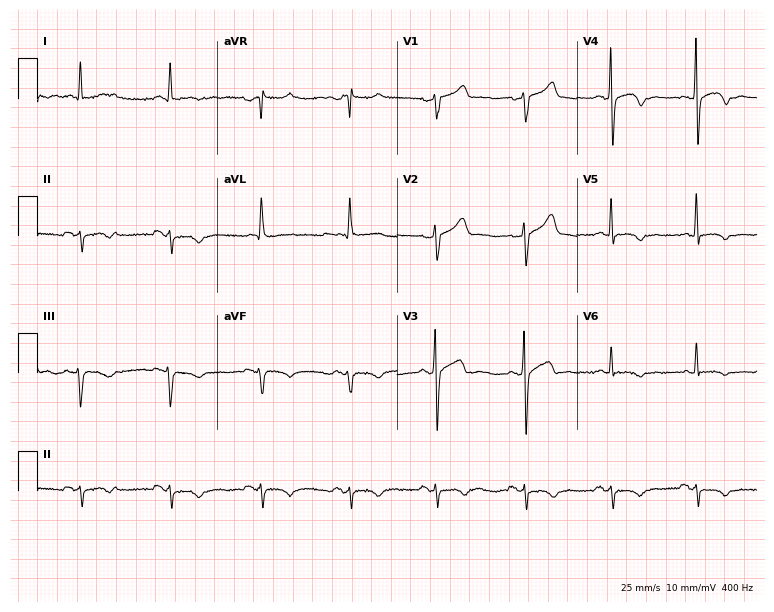
ECG — a male patient, 52 years old. Screened for six findings — first-degree AV block, right bundle branch block (RBBB), left bundle branch block (LBBB), sinus bradycardia, atrial fibrillation (AF), sinus tachycardia — none is recorded.